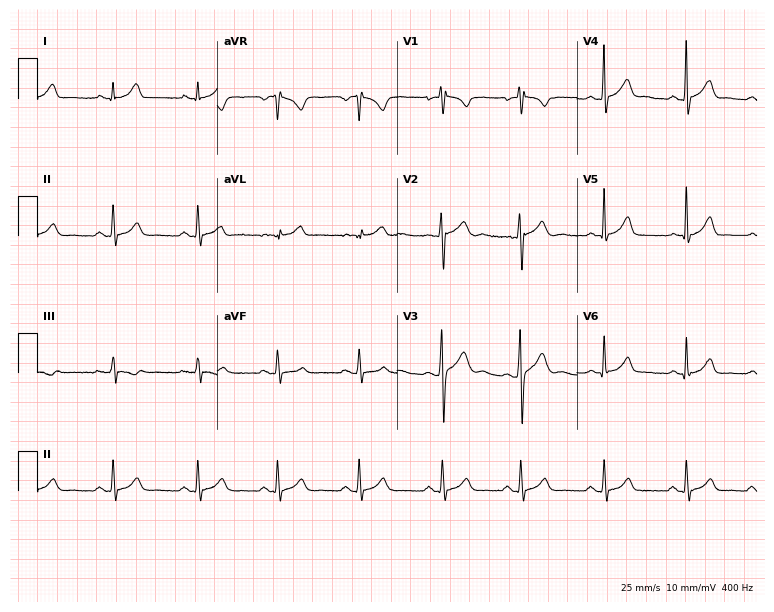
12-lead ECG from a male patient, 22 years old (7.3-second recording at 400 Hz). Recorded interpretation: within normal limits.